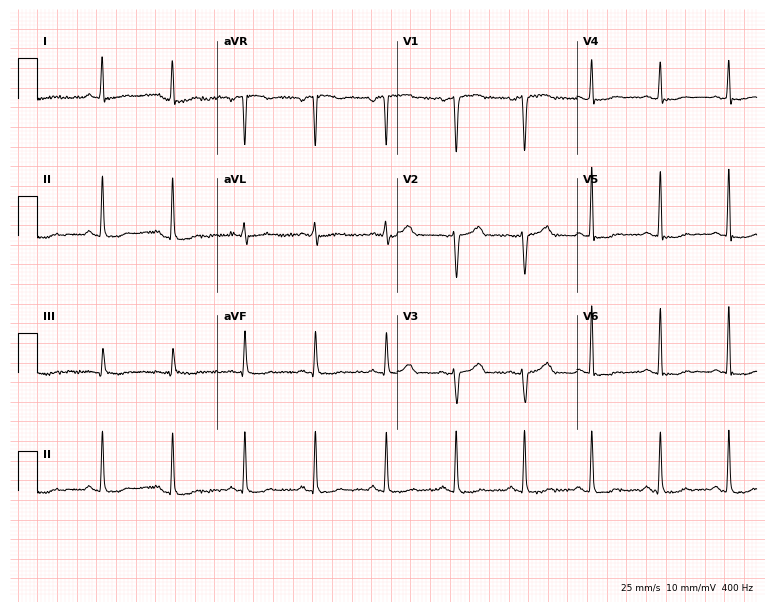
Electrocardiogram (7.3-second recording at 400 Hz), a female patient, 48 years old. Of the six screened findings (first-degree AV block, right bundle branch block (RBBB), left bundle branch block (LBBB), sinus bradycardia, atrial fibrillation (AF), sinus tachycardia), none is recorded.